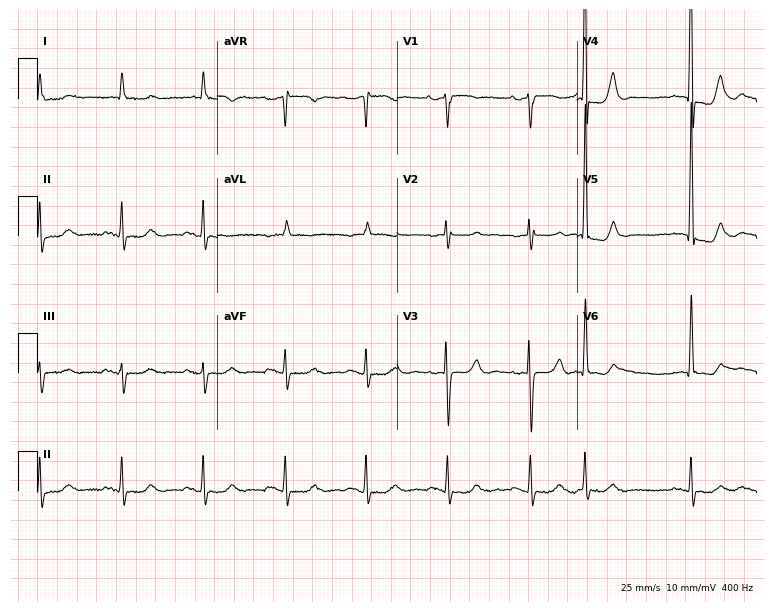
Electrocardiogram, a 73-year-old man. Overall reading on record: normal ECG.